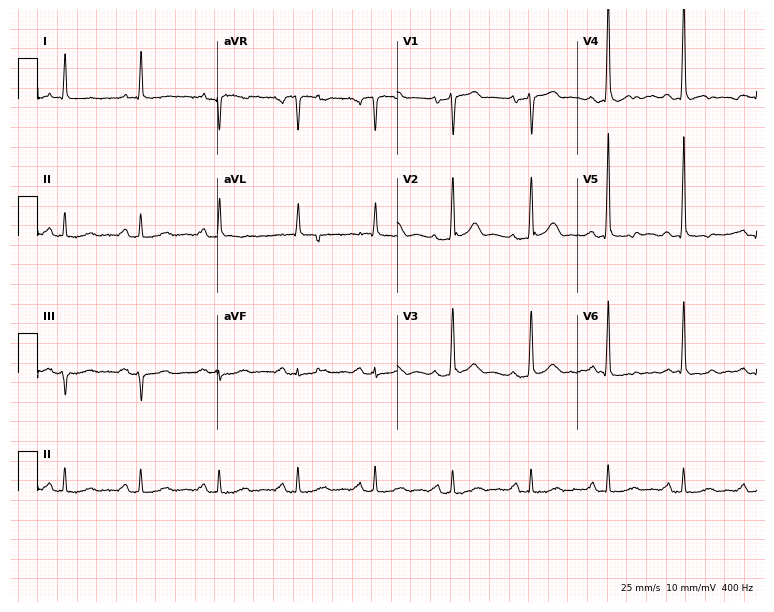
Standard 12-lead ECG recorded from a 70-year-old man. None of these six findings is recorded: first-degree AV block, right bundle branch block, left bundle branch block, sinus bradycardia, atrial fibrillation, sinus tachycardia. Only these six findings were labelled.